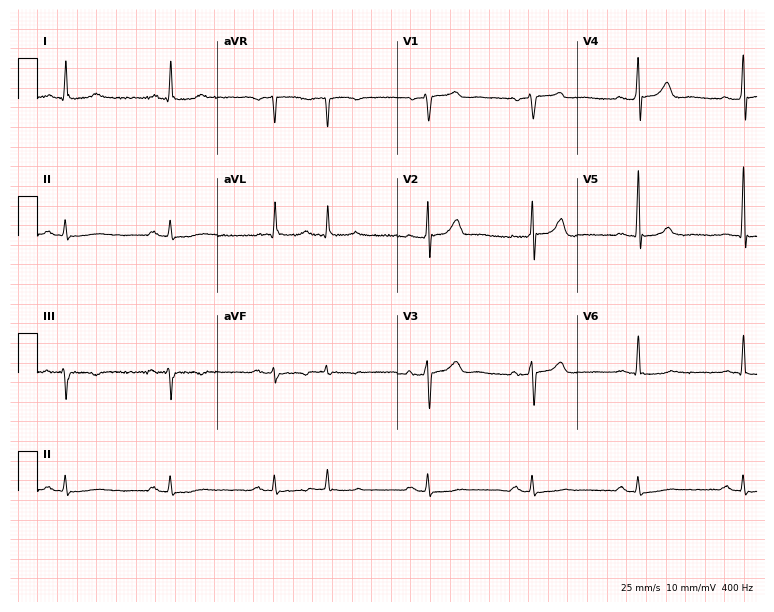
ECG — a male patient, 71 years old. Screened for six findings — first-degree AV block, right bundle branch block, left bundle branch block, sinus bradycardia, atrial fibrillation, sinus tachycardia — none is recorded. Findings outside these six are not listed.